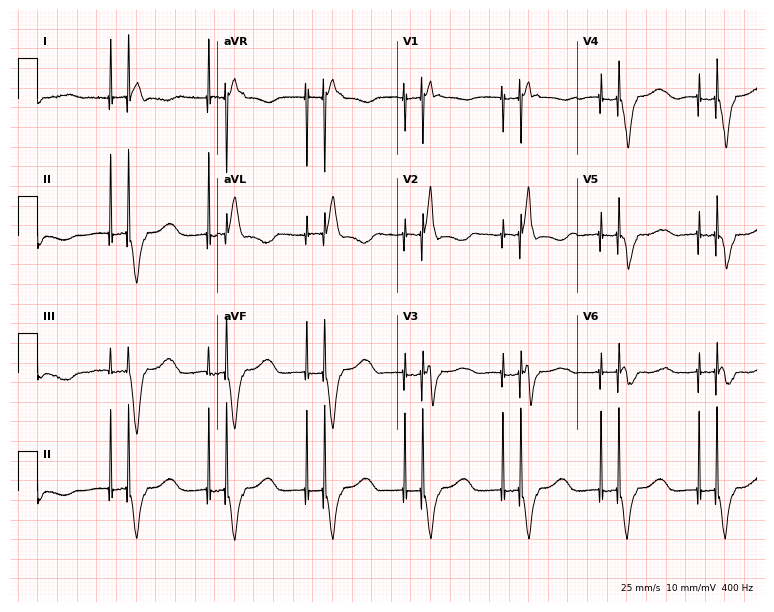
12-lead ECG from a female, 51 years old. No first-degree AV block, right bundle branch block (RBBB), left bundle branch block (LBBB), sinus bradycardia, atrial fibrillation (AF) or sinus tachycardia recorded for this tracing. Other findings, if any, are not listed.